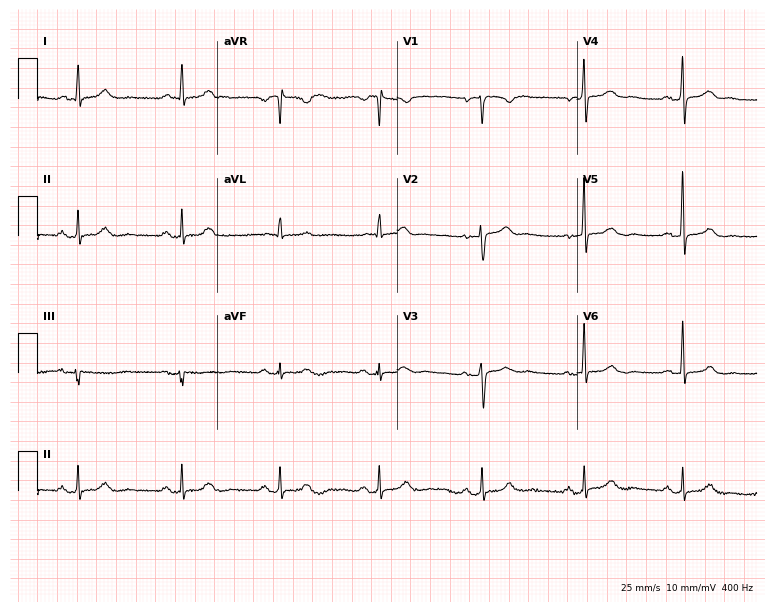
Electrocardiogram (7.3-second recording at 400 Hz), a female patient, 56 years old. Overall reading on record: normal ECG.